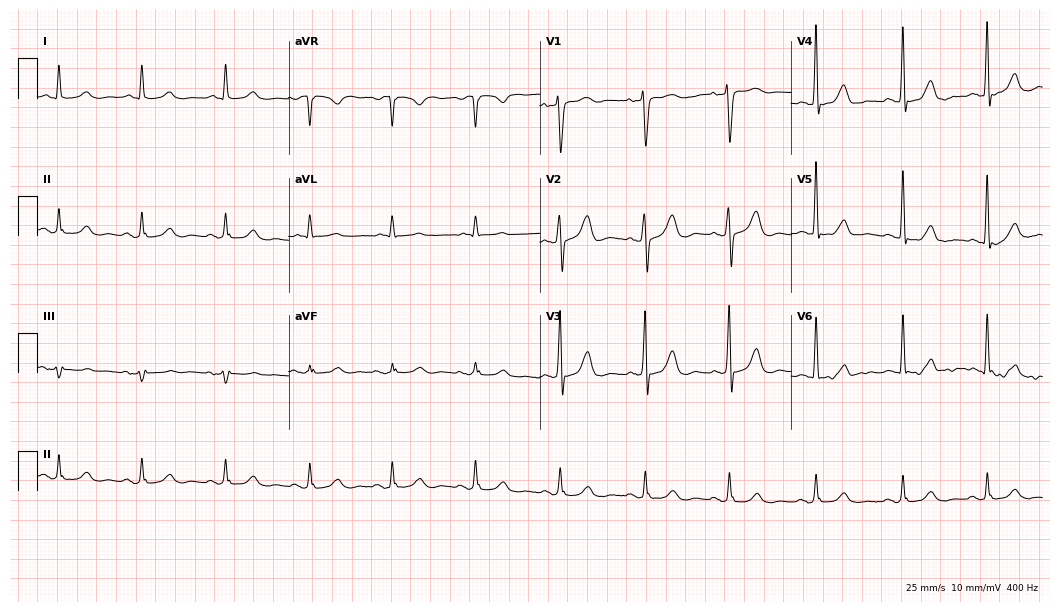
12-lead ECG from a 72-year-old male patient (10.2-second recording at 400 Hz). No first-degree AV block, right bundle branch block (RBBB), left bundle branch block (LBBB), sinus bradycardia, atrial fibrillation (AF) or sinus tachycardia recorded for this tracing.